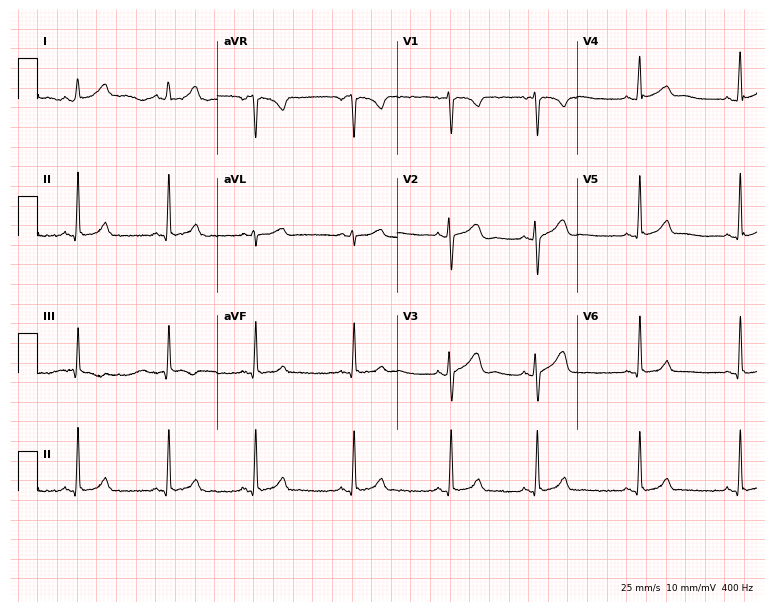
Standard 12-lead ECG recorded from a 20-year-old female (7.3-second recording at 400 Hz). Read as a normal ECG.